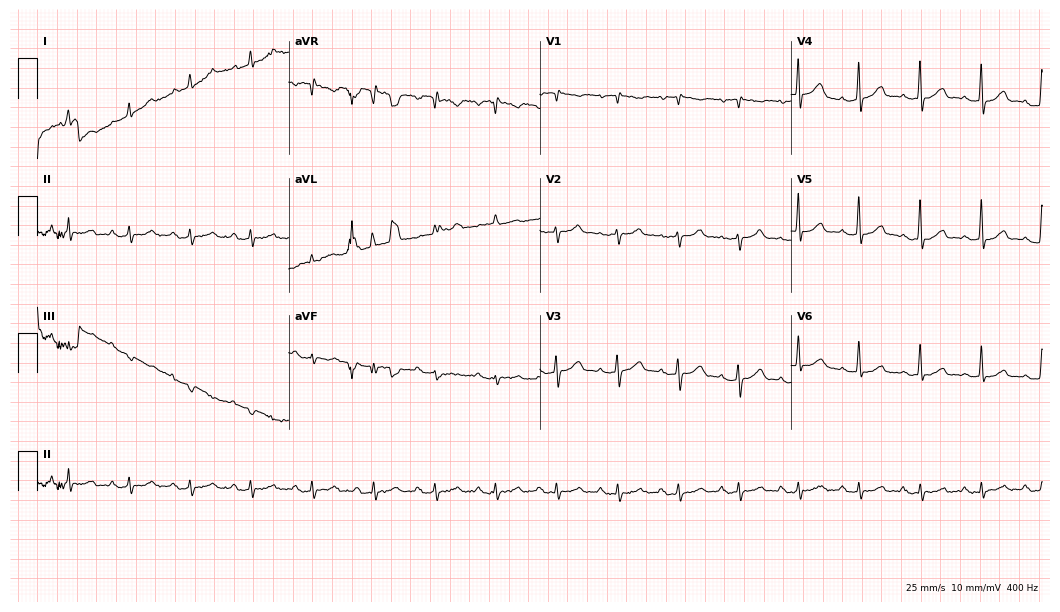
Resting 12-lead electrocardiogram (10.2-second recording at 400 Hz). Patient: a 65-year-old male. None of these six findings is recorded: first-degree AV block, right bundle branch block, left bundle branch block, sinus bradycardia, atrial fibrillation, sinus tachycardia. Findings outside these six are not listed.